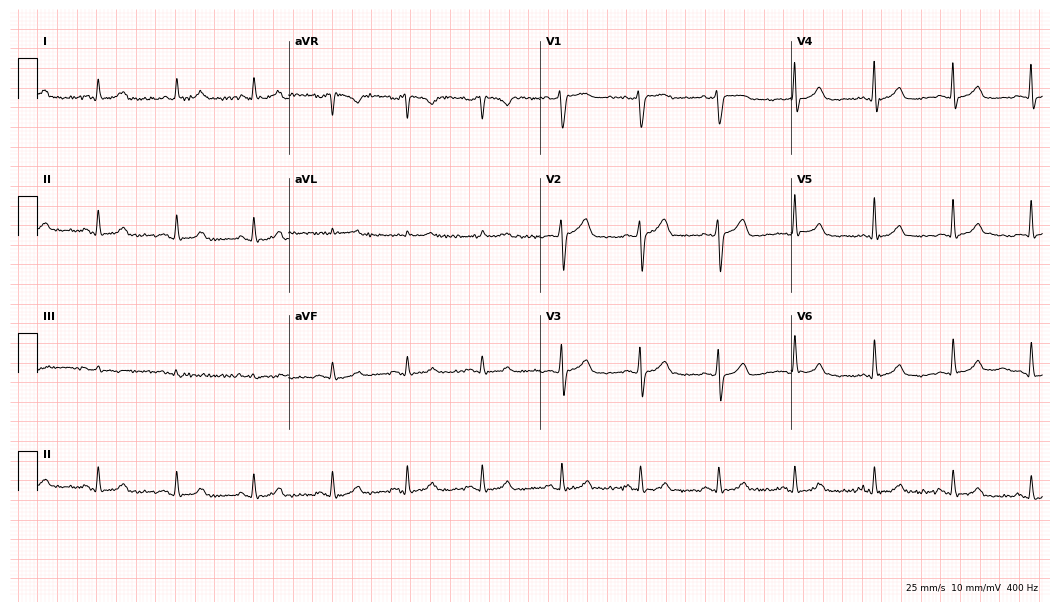
Electrocardiogram, a 56-year-old man. Overall reading on record: normal ECG.